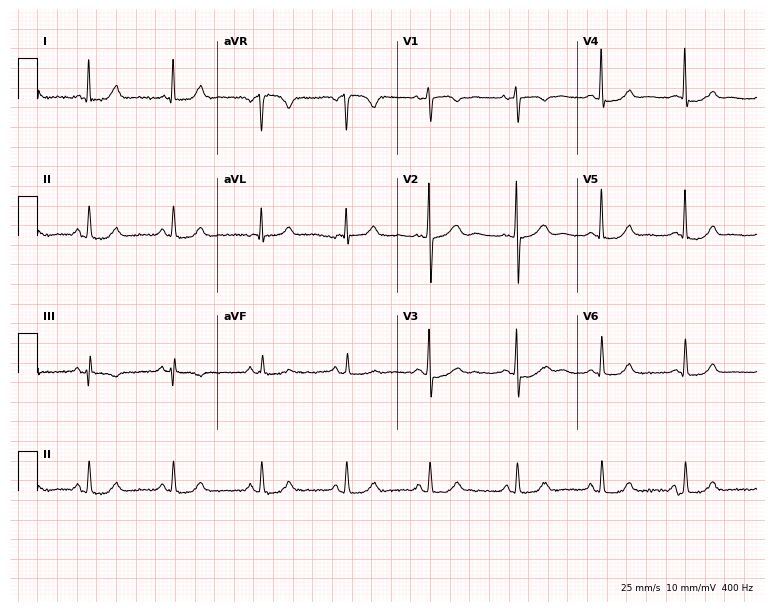
Resting 12-lead electrocardiogram. Patient: a 60-year-old female. None of these six findings is recorded: first-degree AV block, right bundle branch block, left bundle branch block, sinus bradycardia, atrial fibrillation, sinus tachycardia.